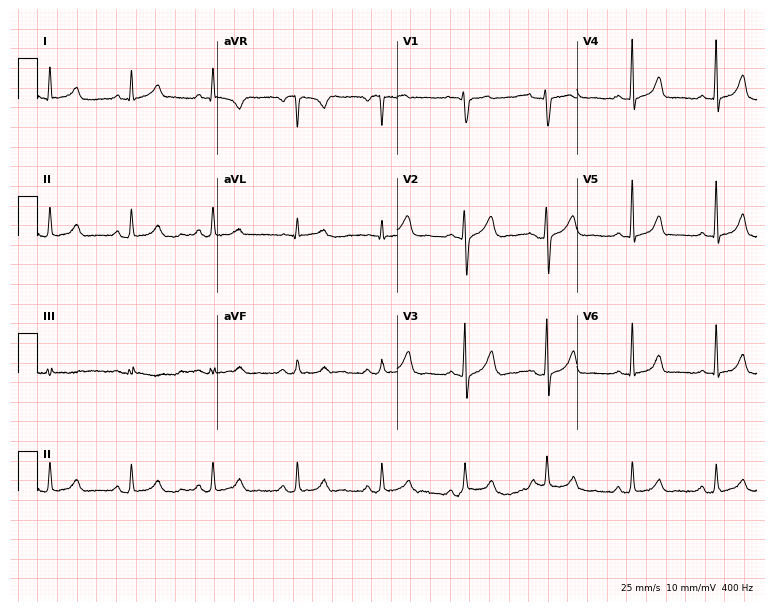
12-lead ECG from a 40-year-old female patient. Labelled as a normal ECG.